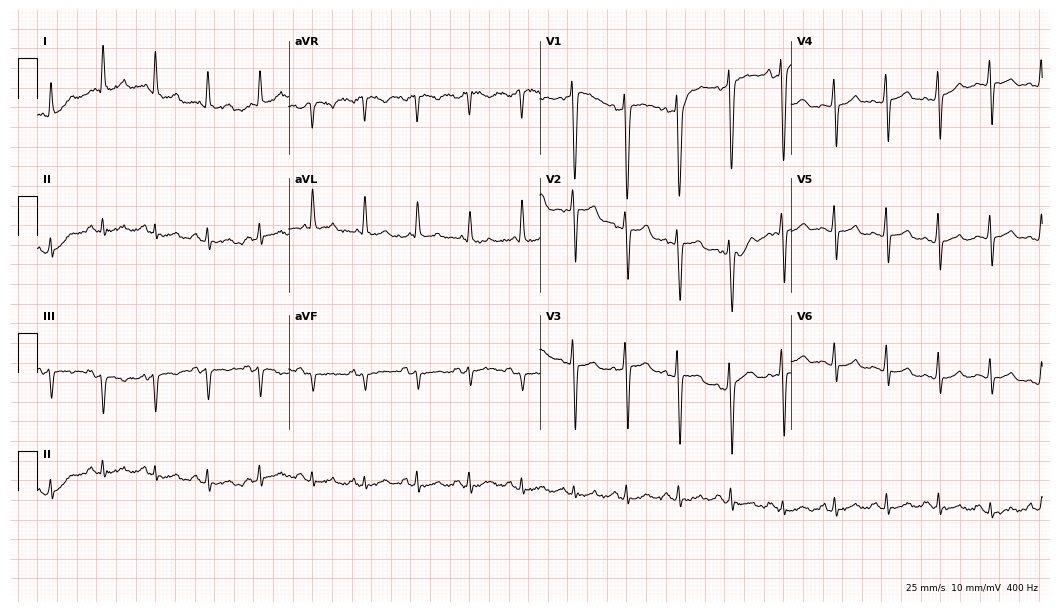
Electrocardiogram, a 31-year-old male. Interpretation includes sinus tachycardia (a sinus rate of 100 beats per minute or more).